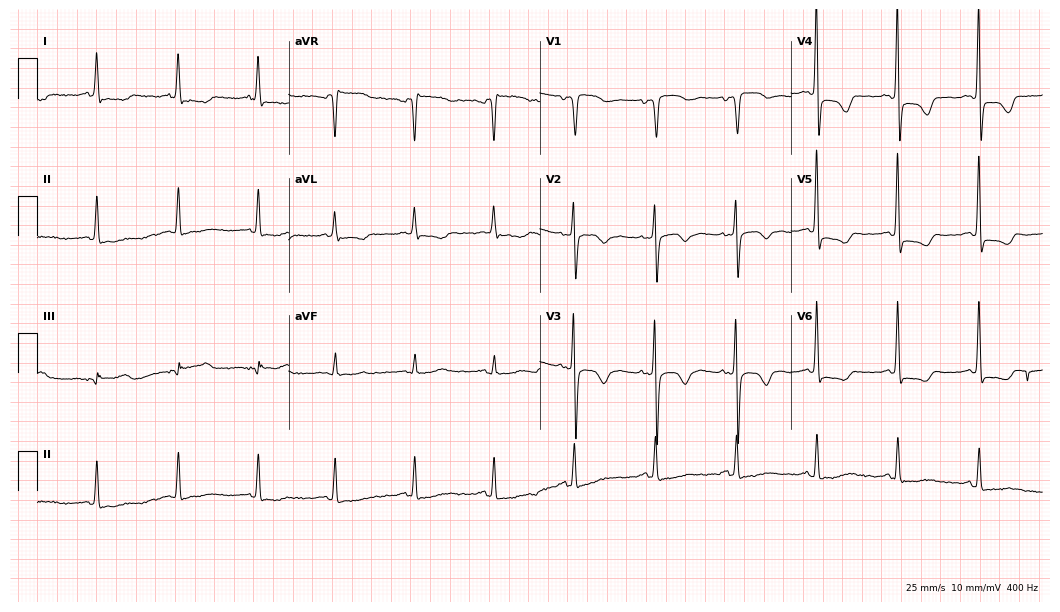
ECG (10.2-second recording at 400 Hz) — a woman, 67 years old. Screened for six findings — first-degree AV block, right bundle branch block (RBBB), left bundle branch block (LBBB), sinus bradycardia, atrial fibrillation (AF), sinus tachycardia — none is recorded.